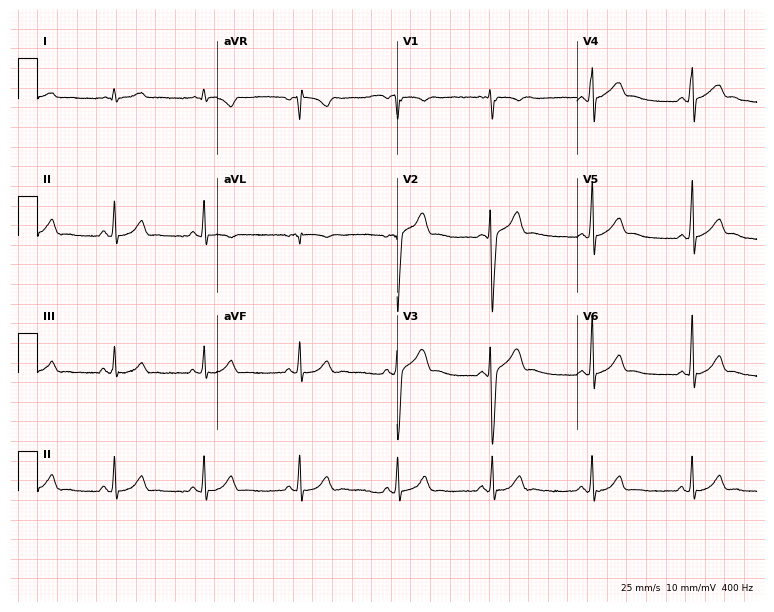
Standard 12-lead ECG recorded from a male, 31 years old. None of these six findings is recorded: first-degree AV block, right bundle branch block (RBBB), left bundle branch block (LBBB), sinus bradycardia, atrial fibrillation (AF), sinus tachycardia.